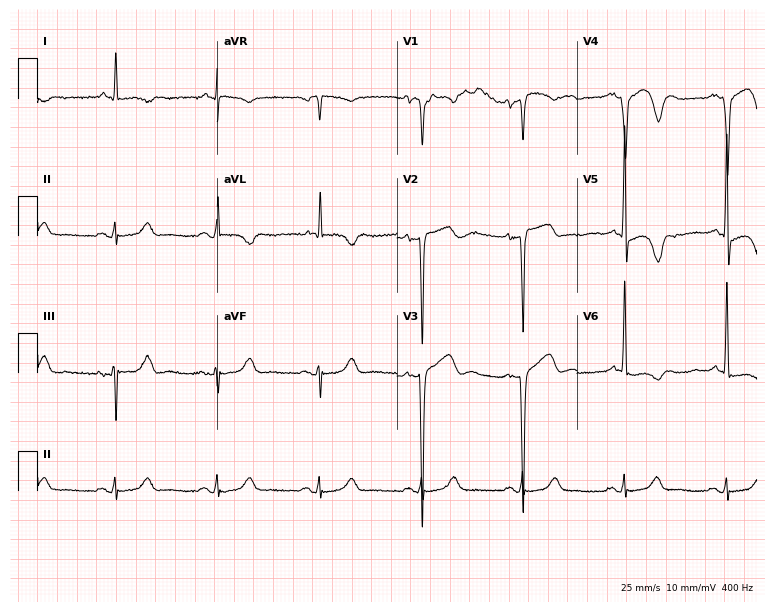
12-lead ECG from a female, 85 years old. No first-degree AV block, right bundle branch block, left bundle branch block, sinus bradycardia, atrial fibrillation or sinus tachycardia recorded for this tracing. Other findings, if any, are not listed.